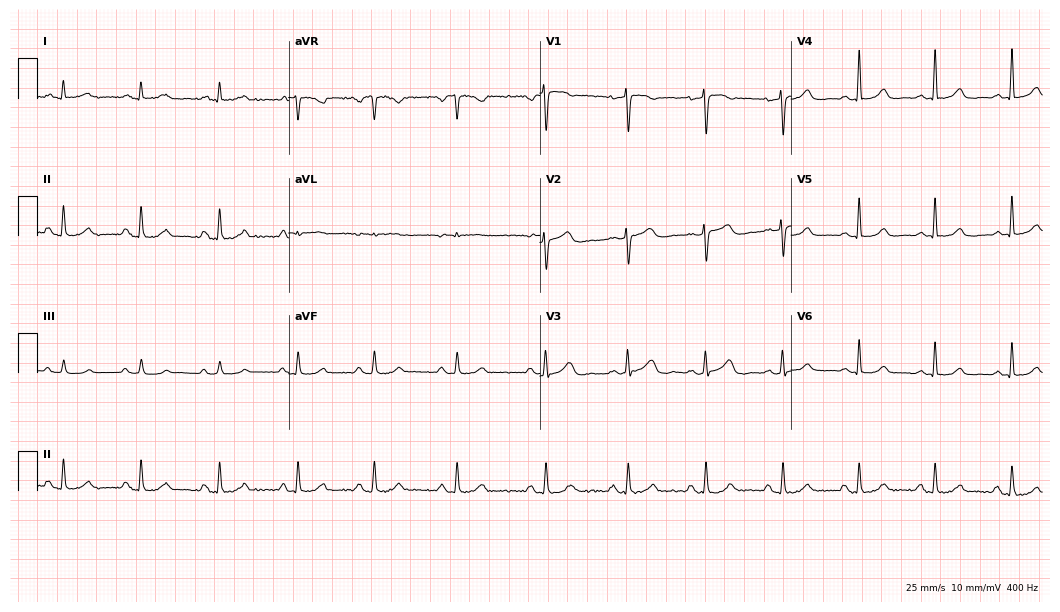
ECG — a female patient, 47 years old. Labelled as a normal ECG.